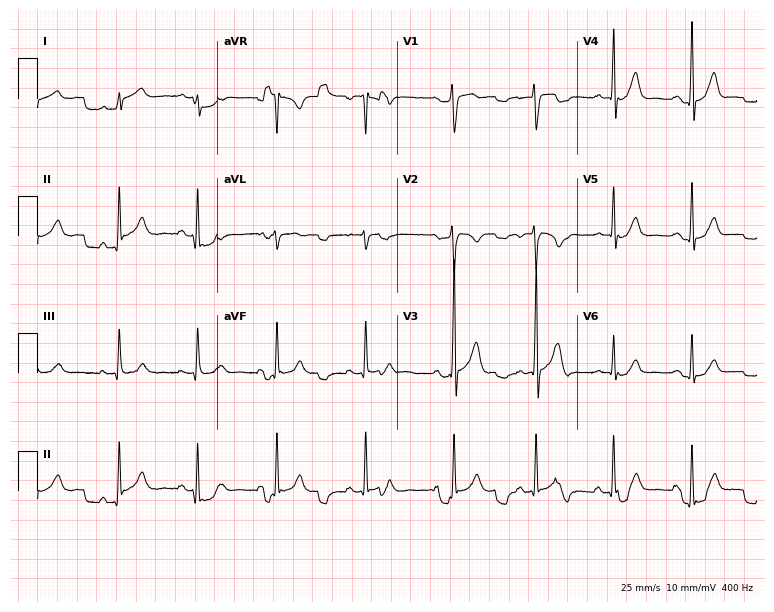
Standard 12-lead ECG recorded from a male, 28 years old. Read as a normal ECG.